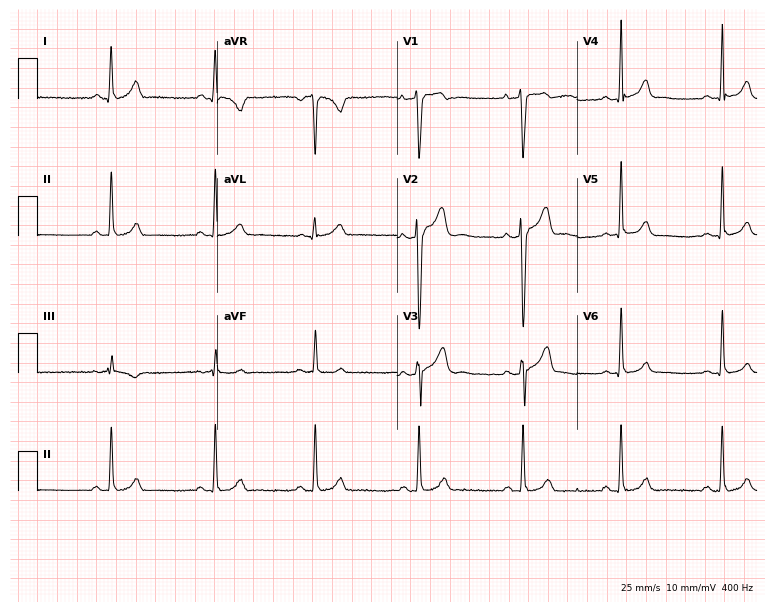
Electrocardiogram (7.3-second recording at 400 Hz), a 23-year-old male. Of the six screened findings (first-degree AV block, right bundle branch block, left bundle branch block, sinus bradycardia, atrial fibrillation, sinus tachycardia), none is recorded.